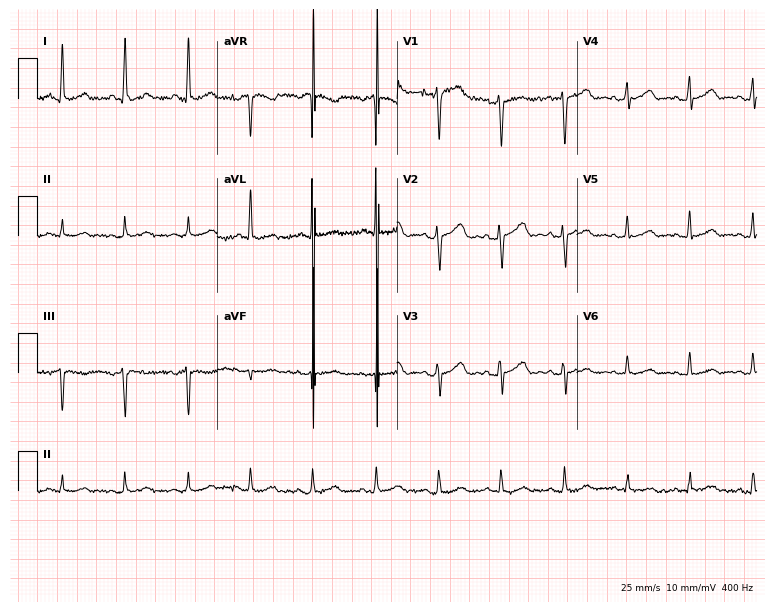
Standard 12-lead ECG recorded from a female patient, 39 years old. None of these six findings is recorded: first-degree AV block, right bundle branch block, left bundle branch block, sinus bradycardia, atrial fibrillation, sinus tachycardia. Only these six findings were labelled.